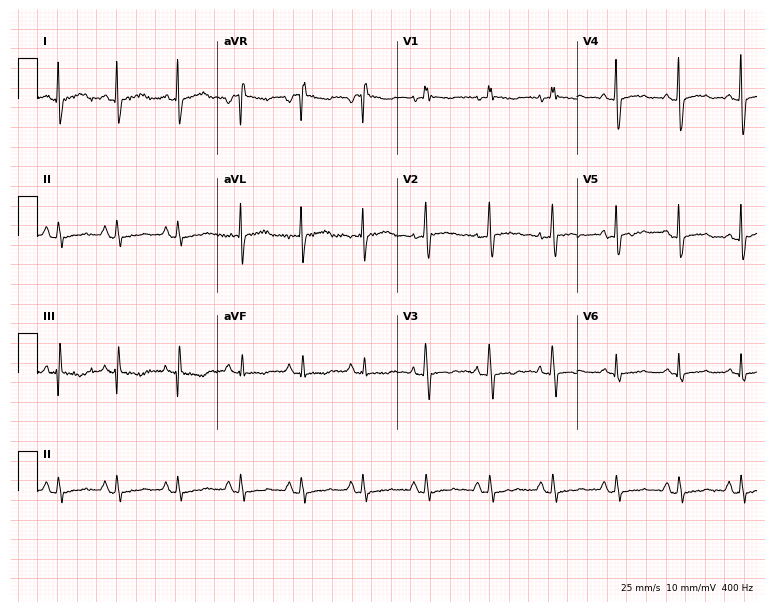
ECG (7.3-second recording at 400 Hz) — a female, 37 years old. Screened for six findings — first-degree AV block, right bundle branch block, left bundle branch block, sinus bradycardia, atrial fibrillation, sinus tachycardia — none is recorded.